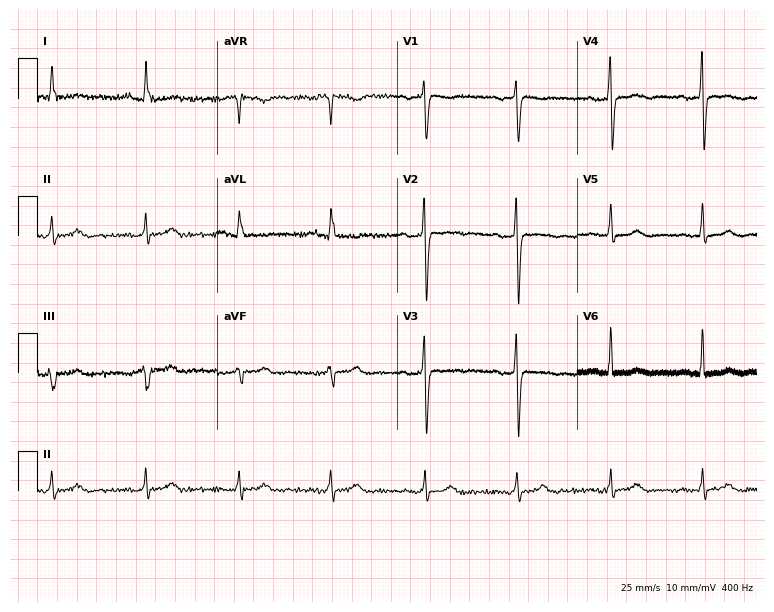
ECG (7.3-second recording at 400 Hz) — a woman, 49 years old. Screened for six findings — first-degree AV block, right bundle branch block, left bundle branch block, sinus bradycardia, atrial fibrillation, sinus tachycardia — none is recorded.